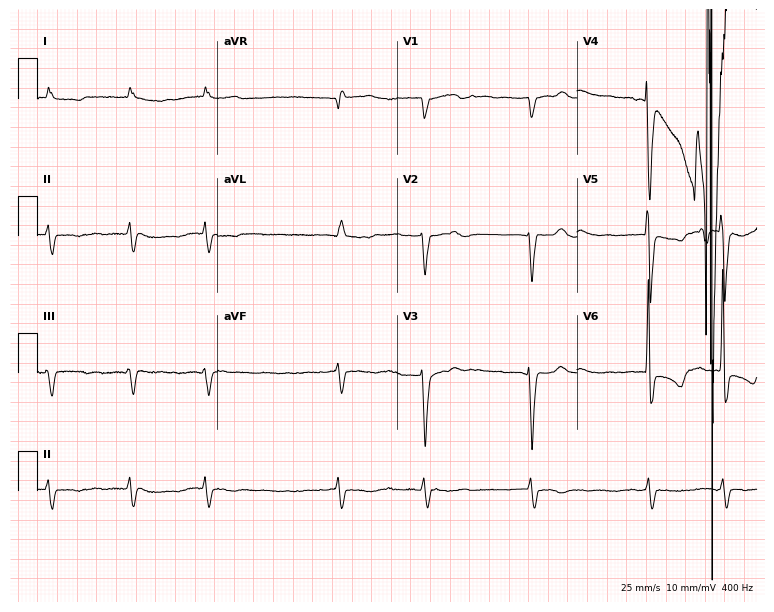
12-lead ECG from a 73-year-old female. Findings include left bundle branch block, atrial fibrillation.